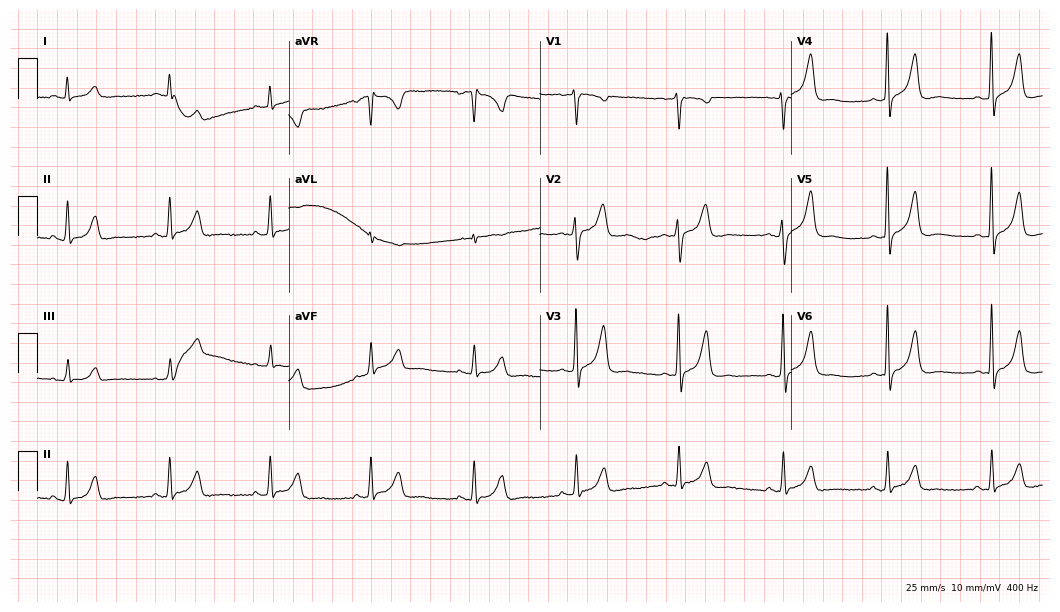
12-lead ECG from a 47-year-old male (10.2-second recording at 400 Hz). No first-degree AV block, right bundle branch block (RBBB), left bundle branch block (LBBB), sinus bradycardia, atrial fibrillation (AF) or sinus tachycardia recorded for this tracing.